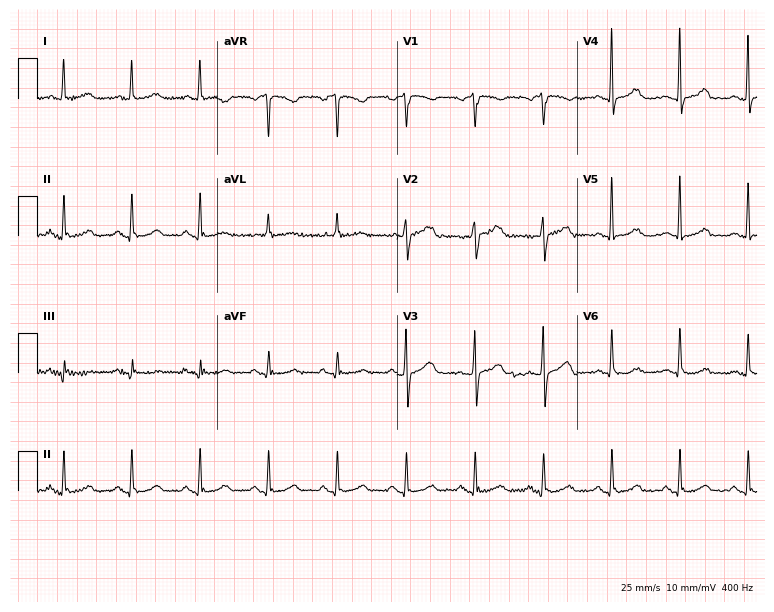
ECG — an 80-year-old female patient. Labelled as a normal ECG.